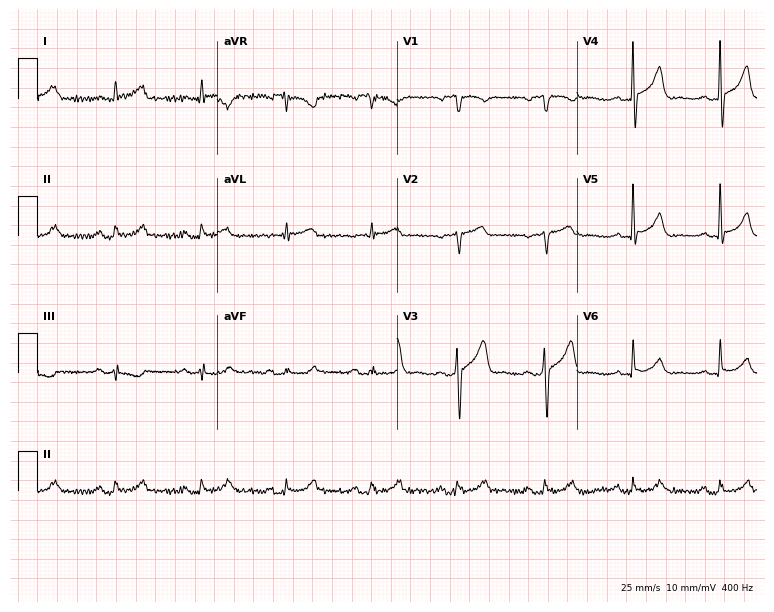
Electrocardiogram (7.3-second recording at 400 Hz), a 71-year-old male. Of the six screened findings (first-degree AV block, right bundle branch block, left bundle branch block, sinus bradycardia, atrial fibrillation, sinus tachycardia), none is recorded. Other findings, if any, are not listed.